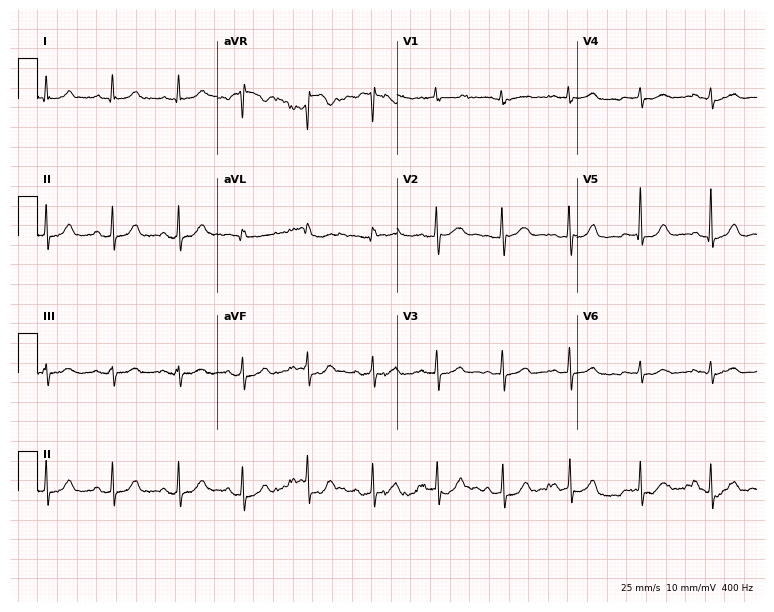
12-lead ECG from a 43-year-old female. No first-degree AV block, right bundle branch block (RBBB), left bundle branch block (LBBB), sinus bradycardia, atrial fibrillation (AF) or sinus tachycardia recorded for this tracing.